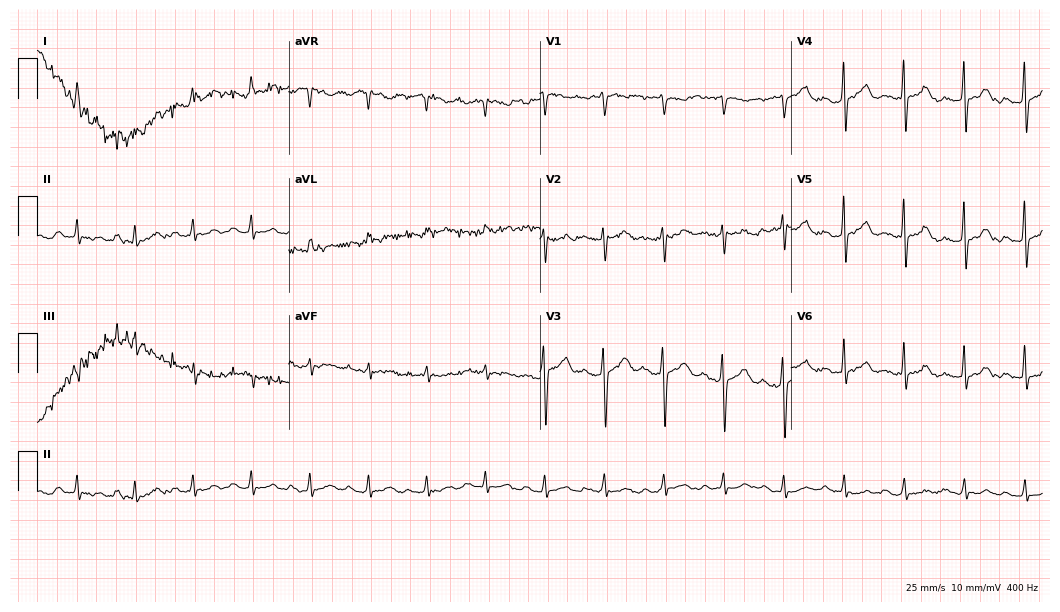
Standard 12-lead ECG recorded from a female patient, 30 years old (10.2-second recording at 400 Hz). None of these six findings is recorded: first-degree AV block, right bundle branch block, left bundle branch block, sinus bradycardia, atrial fibrillation, sinus tachycardia.